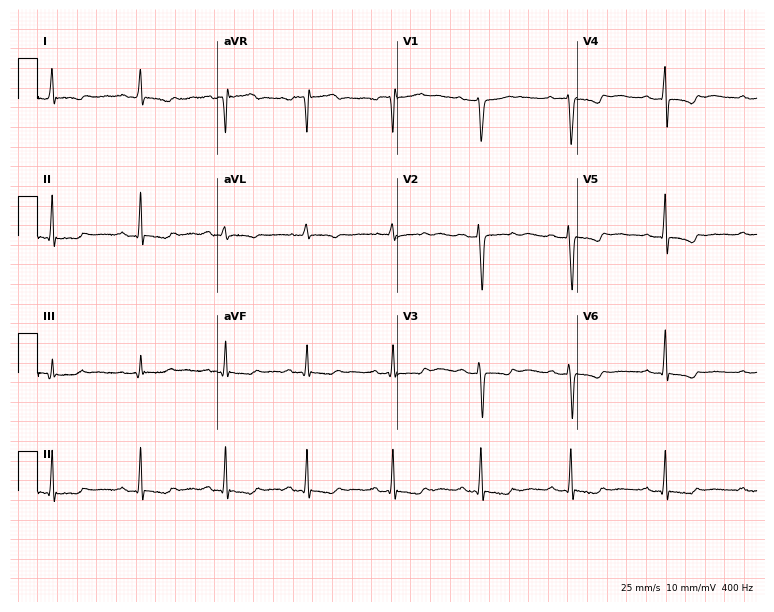
12-lead ECG from a woman, 49 years old. Screened for six findings — first-degree AV block, right bundle branch block, left bundle branch block, sinus bradycardia, atrial fibrillation, sinus tachycardia — none is recorded. Only these six findings were labelled.